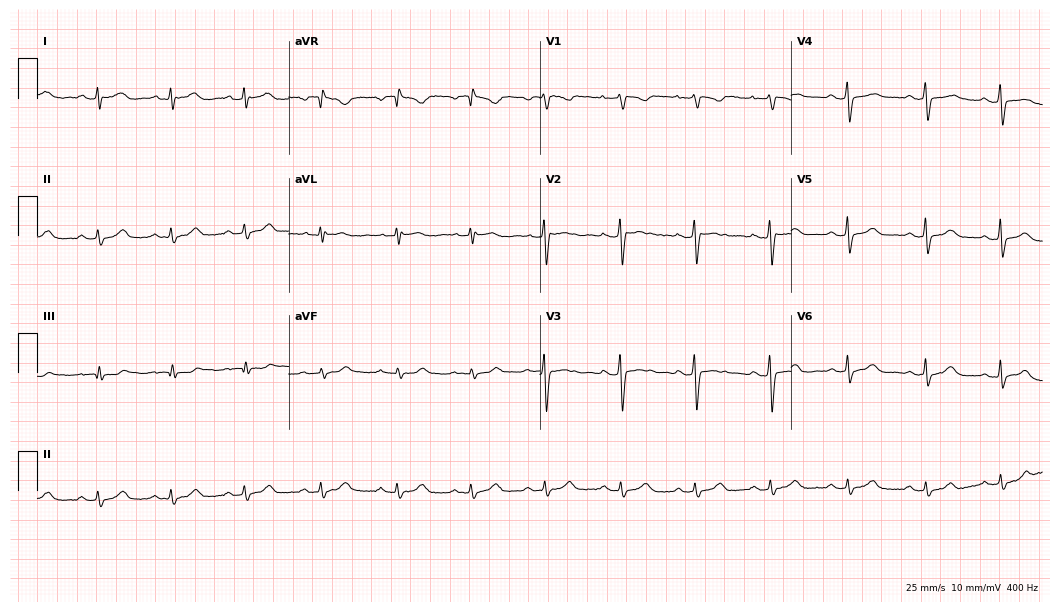
ECG (10.2-second recording at 400 Hz) — a 30-year-old female patient. Screened for six findings — first-degree AV block, right bundle branch block, left bundle branch block, sinus bradycardia, atrial fibrillation, sinus tachycardia — none is recorded. Findings outside these six are not listed.